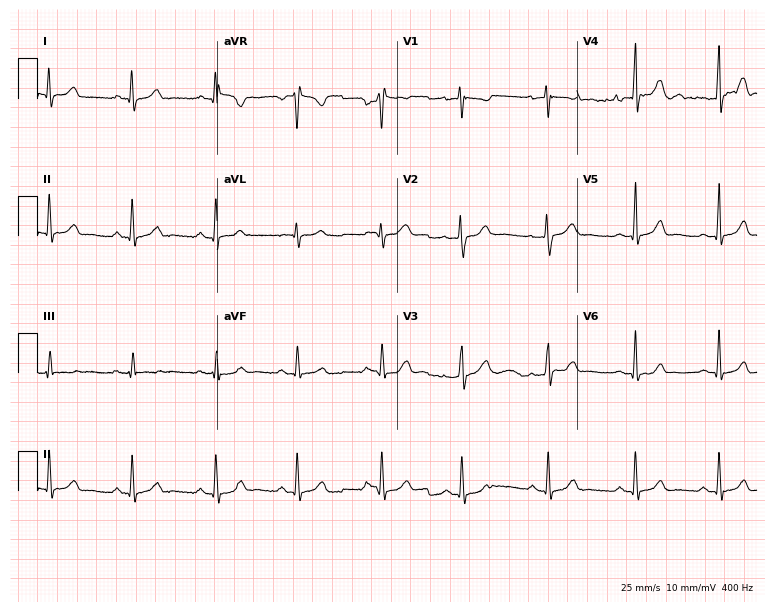
Standard 12-lead ECG recorded from a female, 26 years old. Read as a normal ECG.